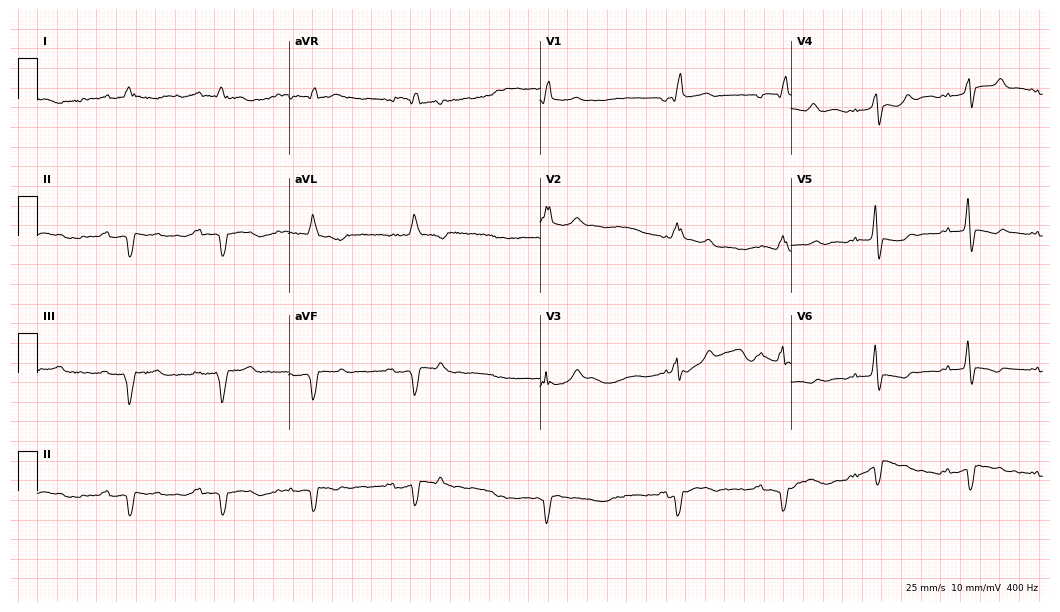
12-lead ECG from a 70-year-old man. Shows first-degree AV block, right bundle branch block.